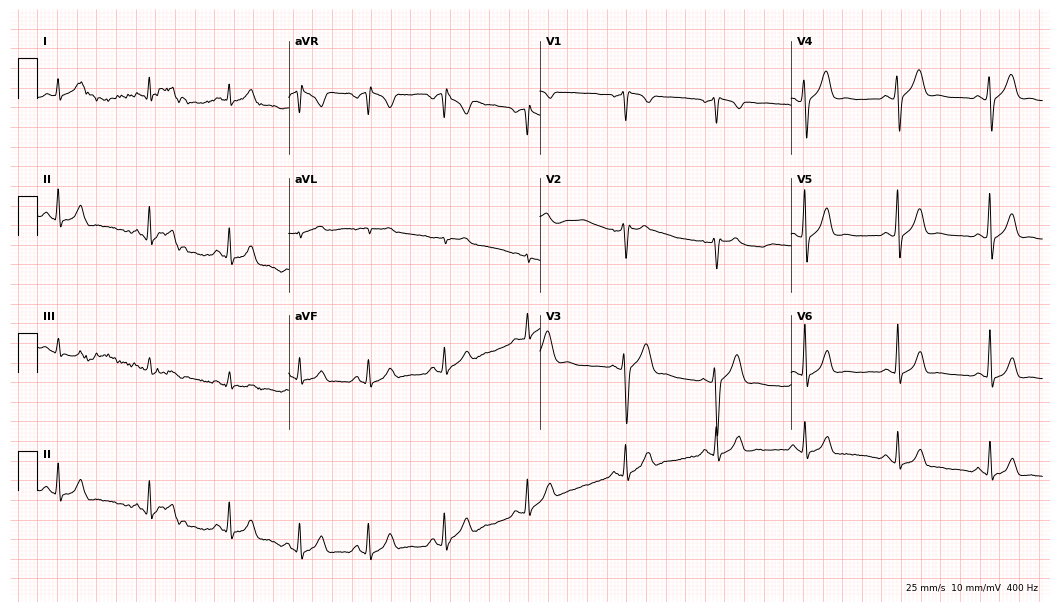
12-lead ECG from a 25-year-old male patient. Labelled as a normal ECG.